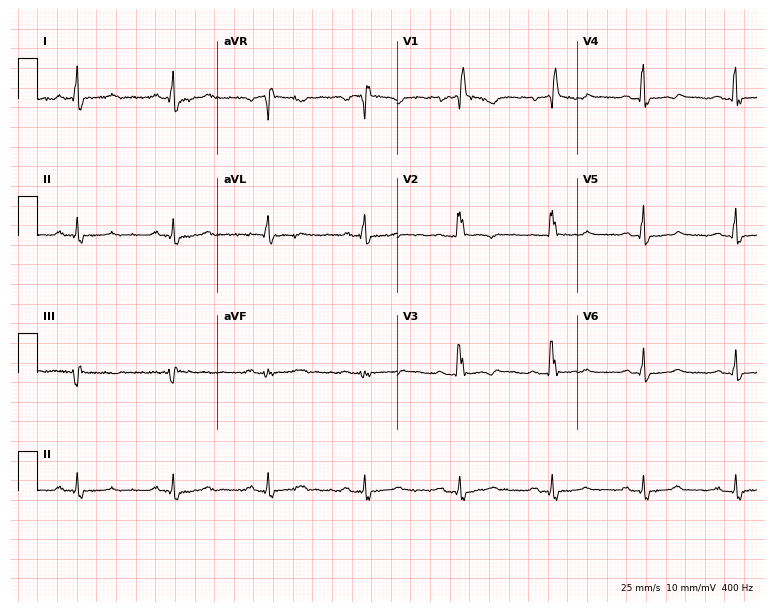
12-lead ECG from a 54-year-old female (7.3-second recording at 400 Hz). Shows right bundle branch block (RBBB).